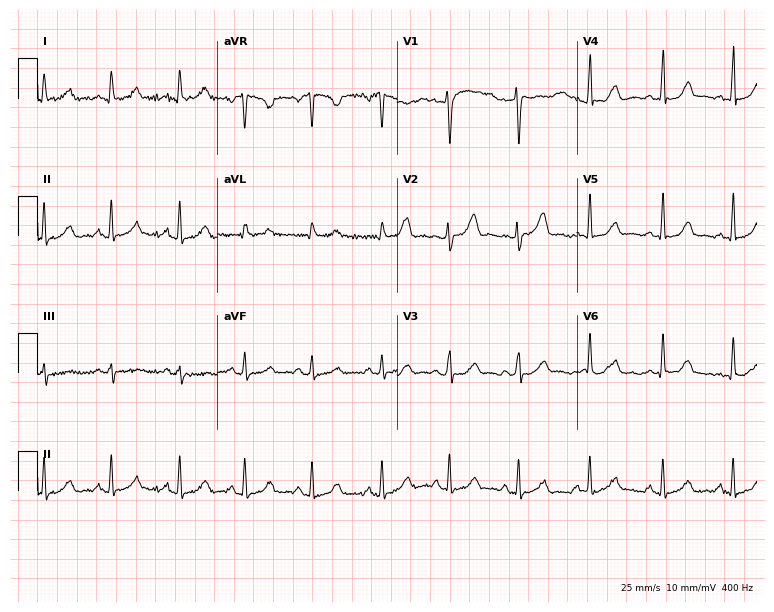
12-lead ECG from a female, 32 years old (7.3-second recording at 400 Hz). Recorded interpretation: within normal limits.